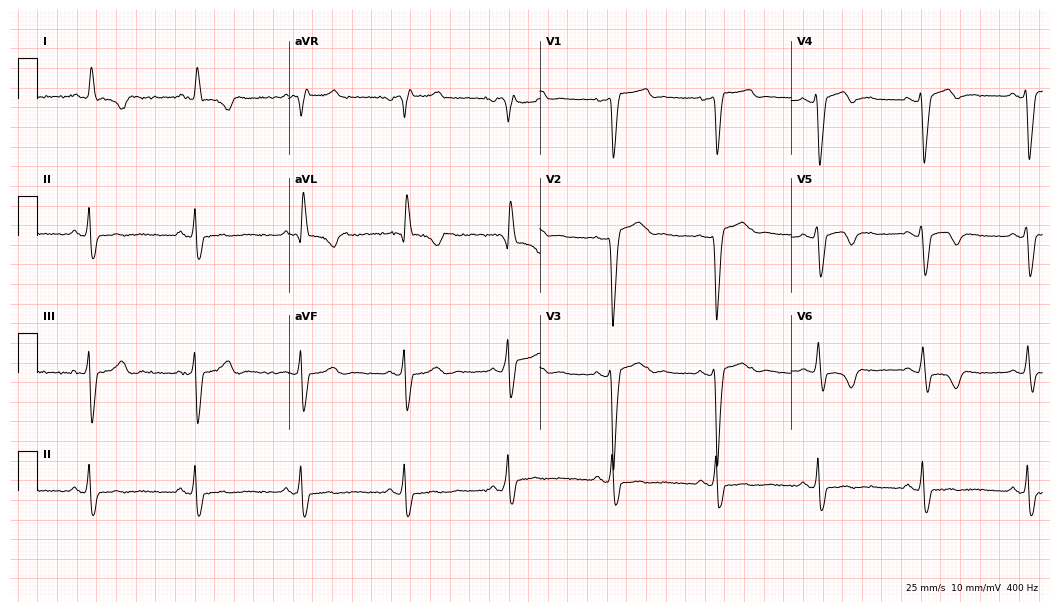
Resting 12-lead electrocardiogram (10.2-second recording at 400 Hz). Patient: a male, 65 years old. None of these six findings is recorded: first-degree AV block, right bundle branch block (RBBB), left bundle branch block (LBBB), sinus bradycardia, atrial fibrillation (AF), sinus tachycardia. Findings outside these six are not listed.